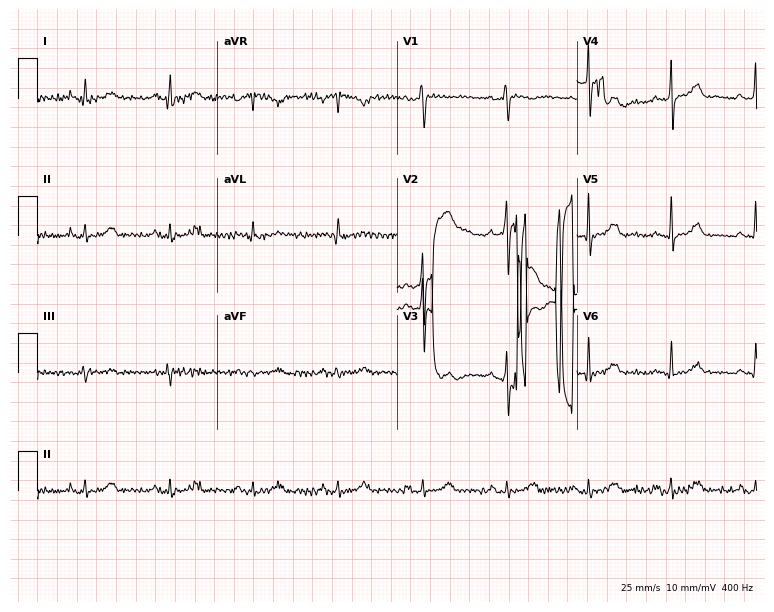
Resting 12-lead electrocardiogram (7.3-second recording at 400 Hz). Patient: a 53-year-old man. None of these six findings is recorded: first-degree AV block, right bundle branch block (RBBB), left bundle branch block (LBBB), sinus bradycardia, atrial fibrillation (AF), sinus tachycardia. Other findings, if any, are not listed.